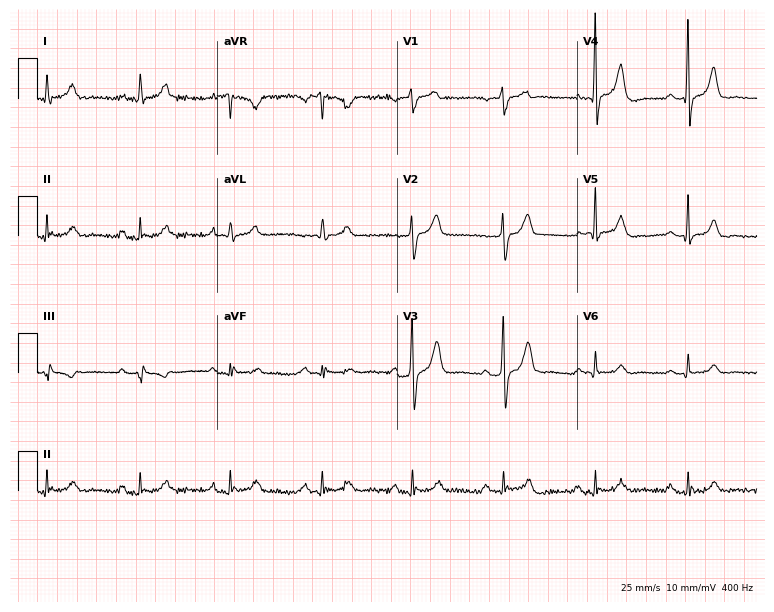
Electrocardiogram, a male patient, 80 years old. Of the six screened findings (first-degree AV block, right bundle branch block (RBBB), left bundle branch block (LBBB), sinus bradycardia, atrial fibrillation (AF), sinus tachycardia), none is recorded.